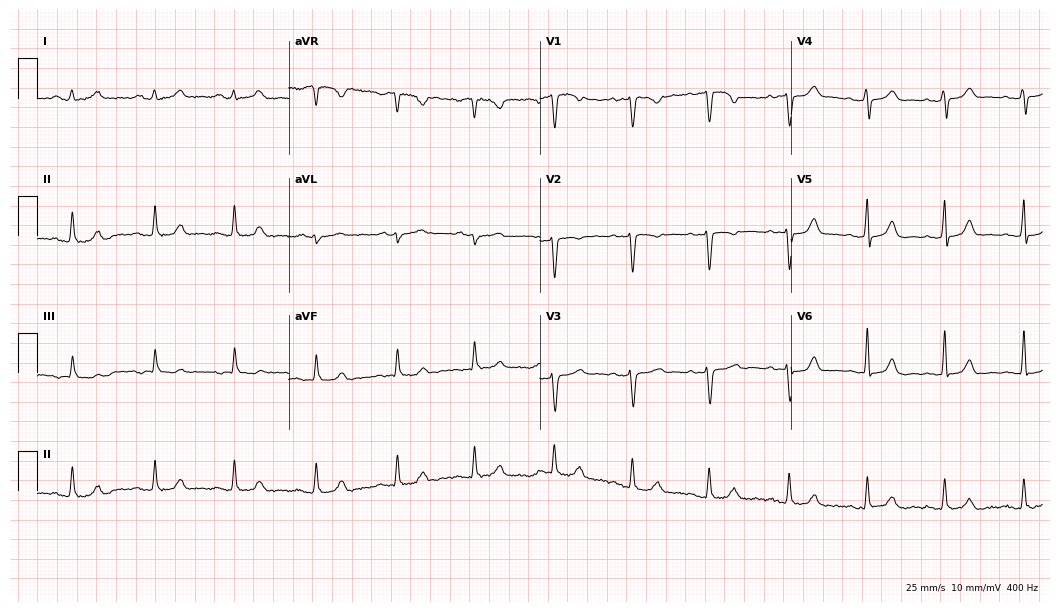
Standard 12-lead ECG recorded from a female, 29 years old (10.2-second recording at 400 Hz). None of these six findings is recorded: first-degree AV block, right bundle branch block (RBBB), left bundle branch block (LBBB), sinus bradycardia, atrial fibrillation (AF), sinus tachycardia. Only these six findings were labelled.